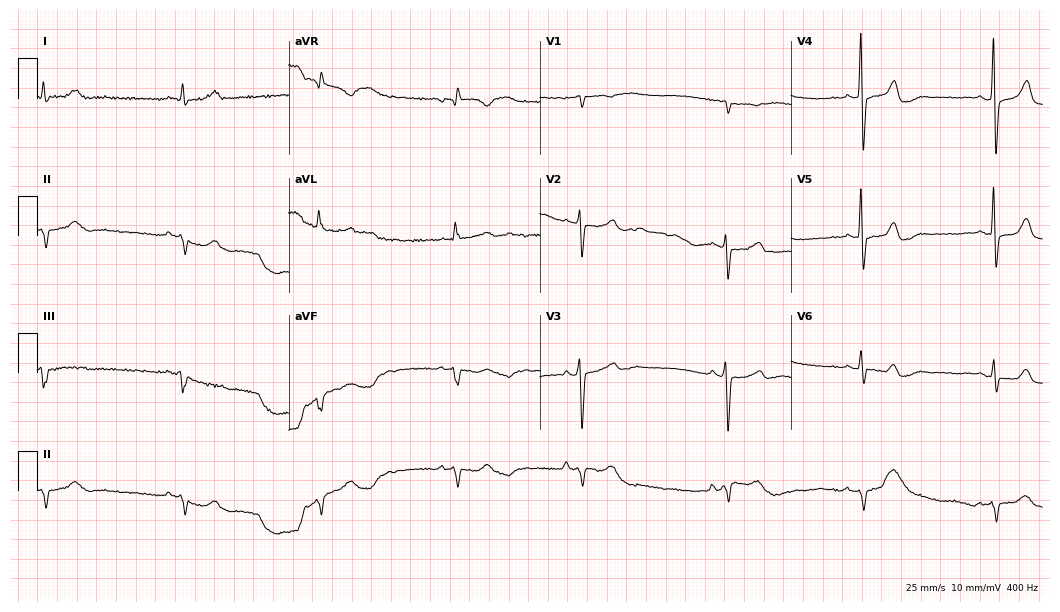
Resting 12-lead electrocardiogram. Patient: a man, 83 years old. The tracing shows sinus bradycardia (a sinus rate of 50 beats per minute or less).